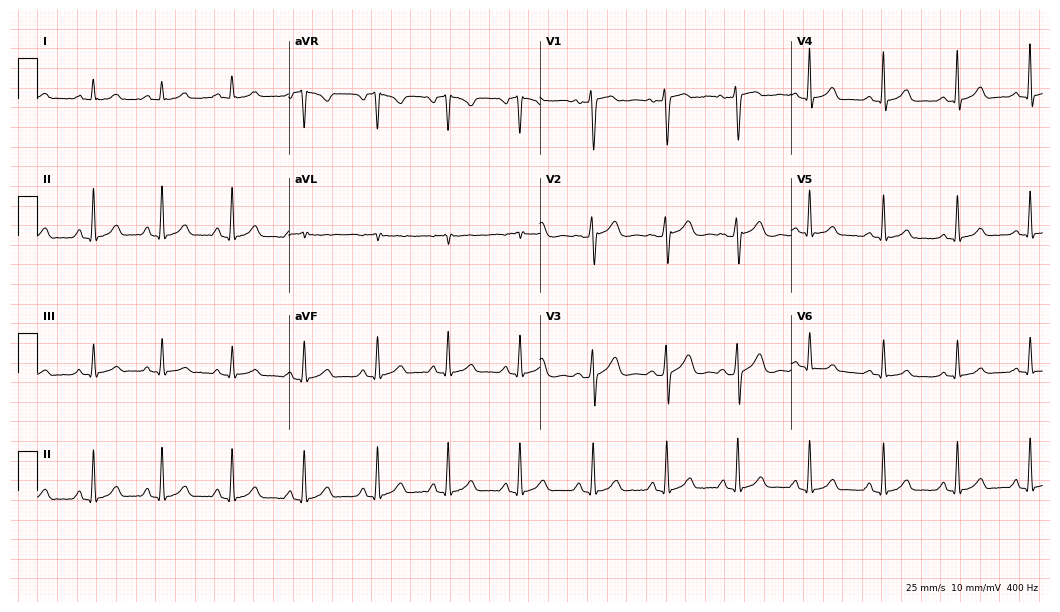
Resting 12-lead electrocardiogram. Patient: a 29-year-old female. None of these six findings is recorded: first-degree AV block, right bundle branch block, left bundle branch block, sinus bradycardia, atrial fibrillation, sinus tachycardia.